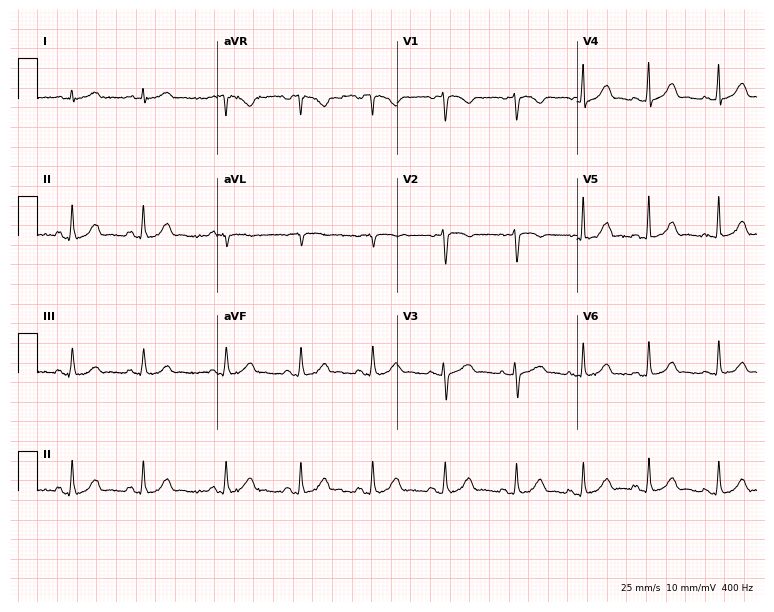
Resting 12-lead electrocardiogram. Patient: a 40-year-old woman. Read as a normal ECG.